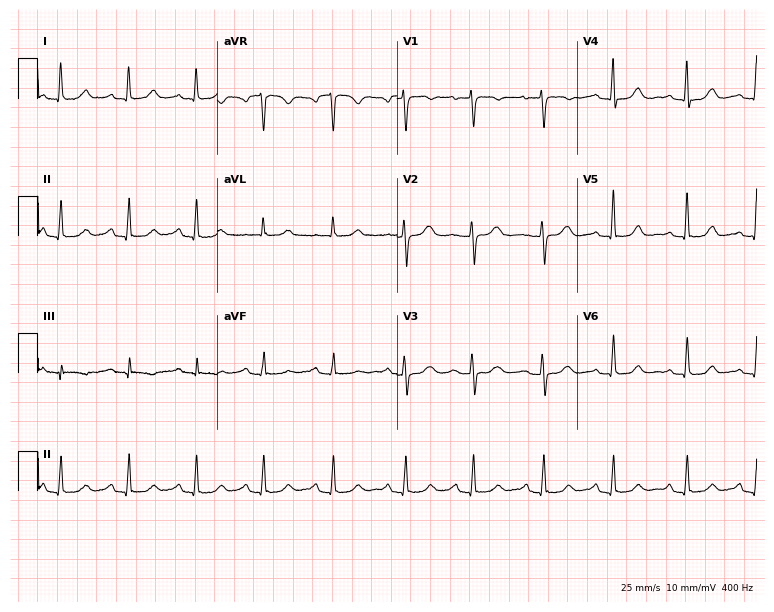
Electrocardiogram, a 66-year-old woman. Overall reading on record: normal ECG.